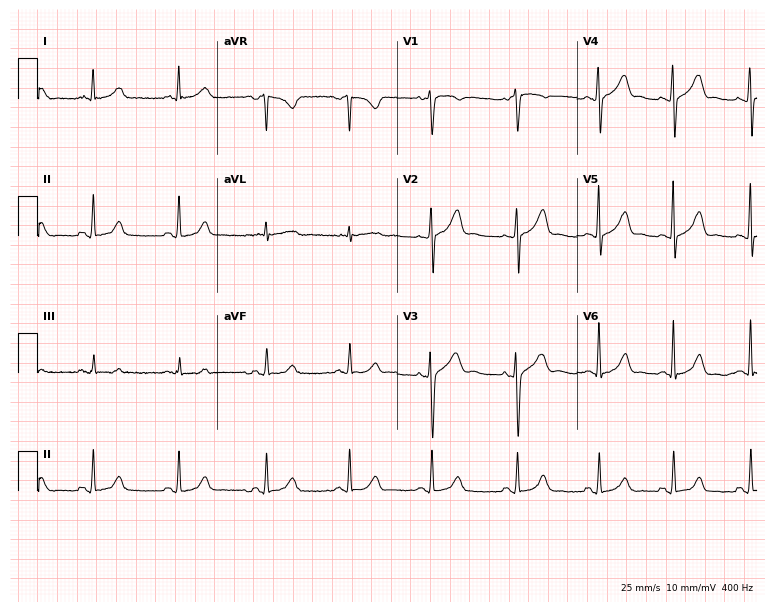
12-lead ECG from a 33-year-old woman (7.3-second recording at 400 Hz). Recorded interpretation: within normal limits.